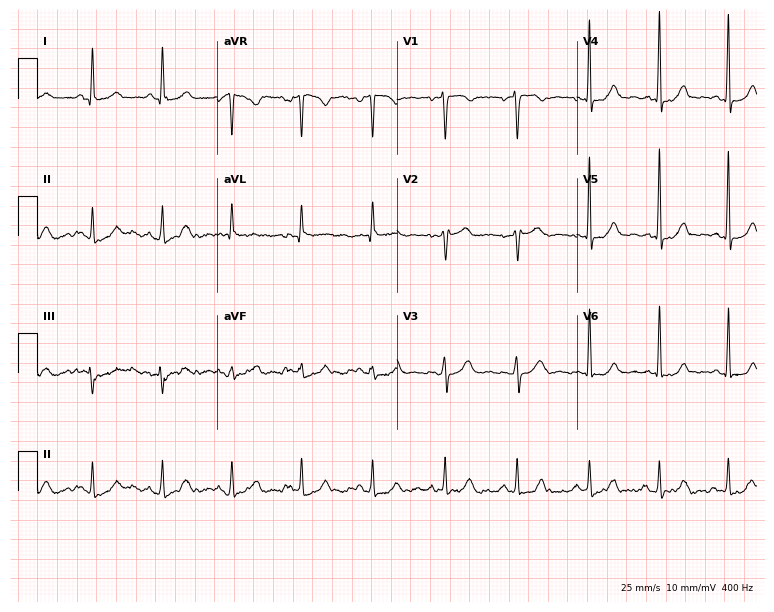
12-lead ECG (7.3-second recording at 400 Hz) from a female, 44 years old. Labelled as a normal ECG.